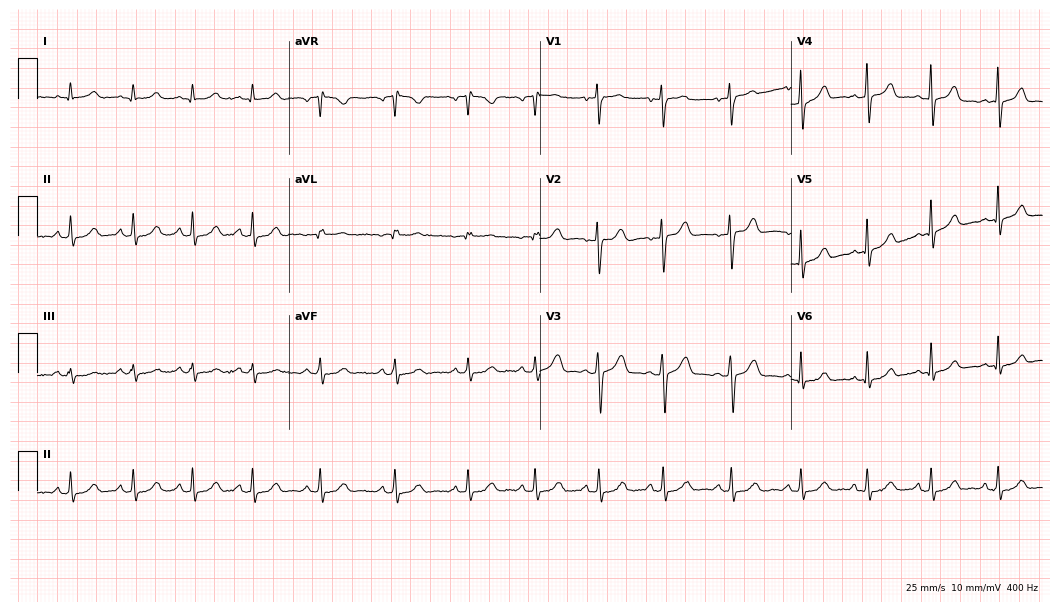
12-lead ECG from a woman, 32 years old. Labelled as a normal ECG.